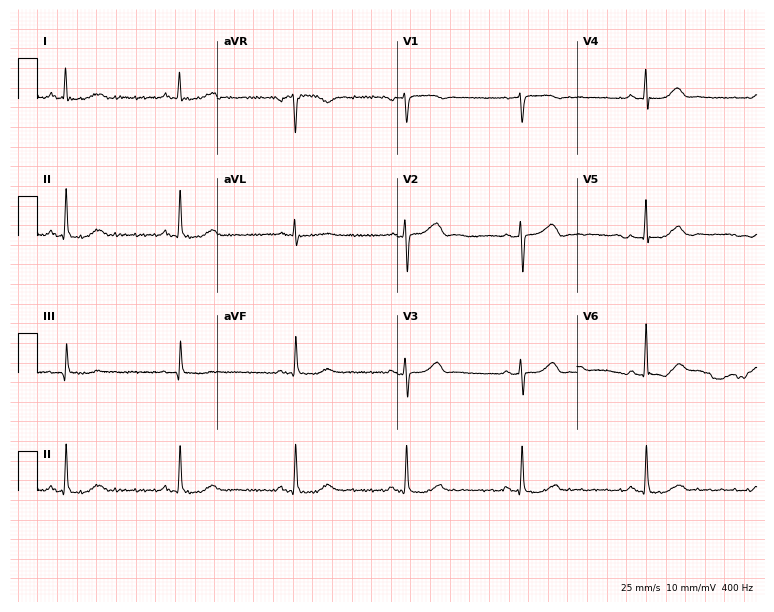
Resting 12-lead electrocardiogram (7.3-second recording at 400 Hz). Patient: a 50-year-old woman. Read as a normal ECG.